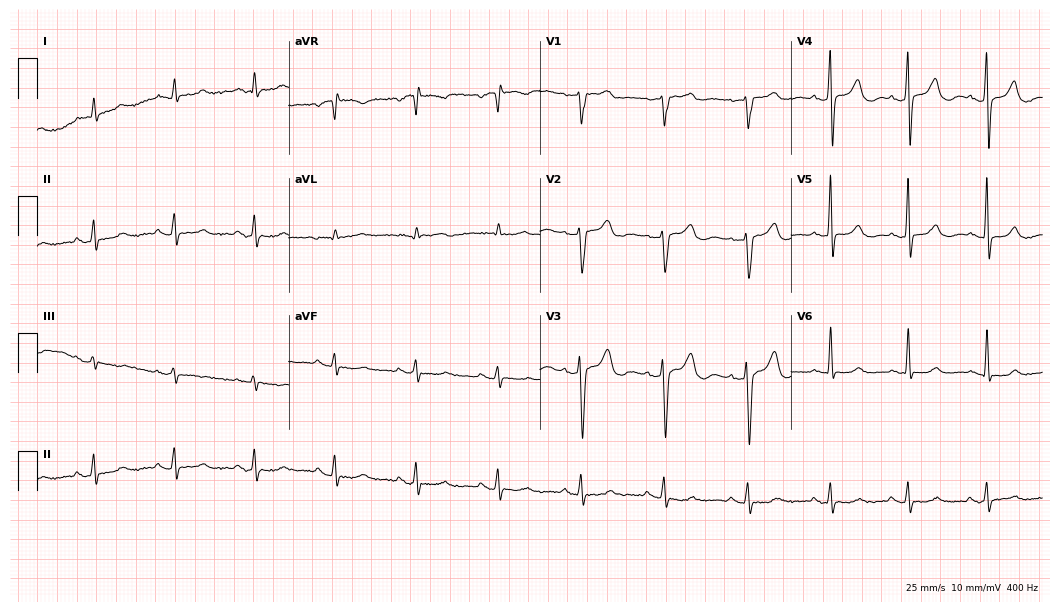
12-lead ECG from a male patient, 69 years old. Recorded interpretation: within normal limits.